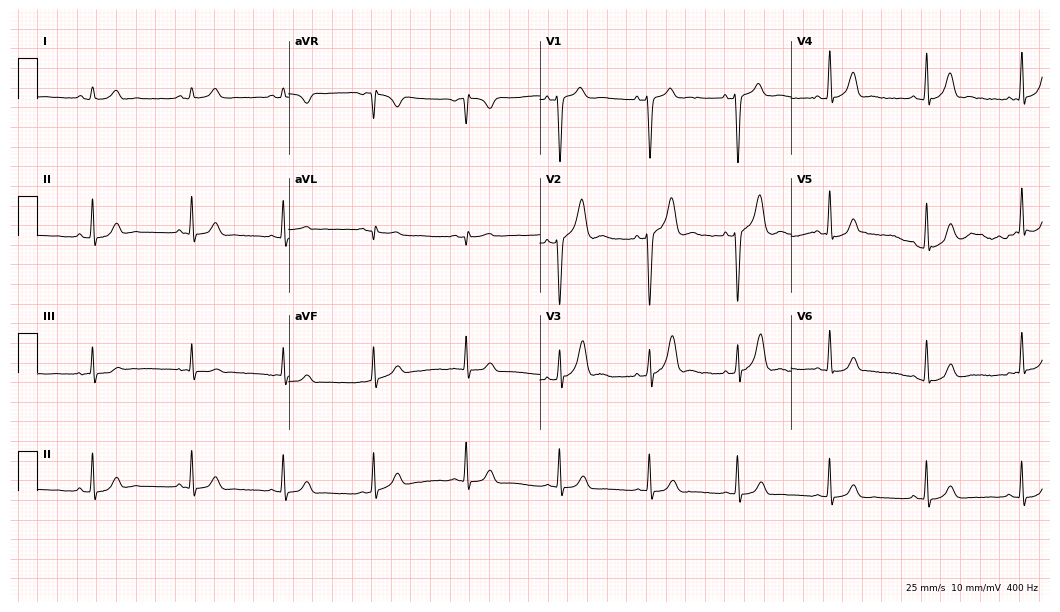
Electrocardiogram, a 22-year-old male patient. Overall reading on record: normal ECG.